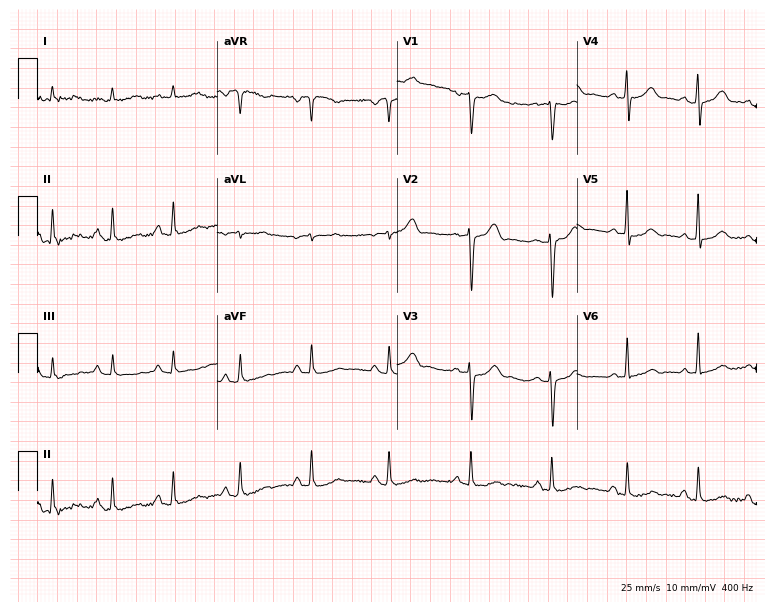
ECG (7.3-second recording at 400 Hz) — a female, 29 years old. Screened for six findings — first-degree AV block, right bundle branch block (RBBB), left bundle branch block (LBBB), sinus bradycardia, atrial fibrillation (AF), sinus tachycardia — none is recorded.